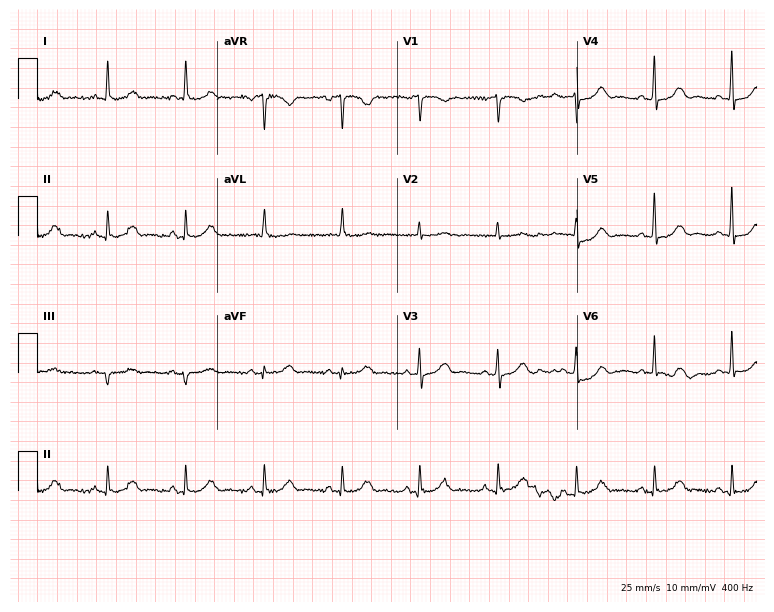
Resting 12-lead electrocardiogram. Patient: a 63-year-old female. Read as a normal ECG.